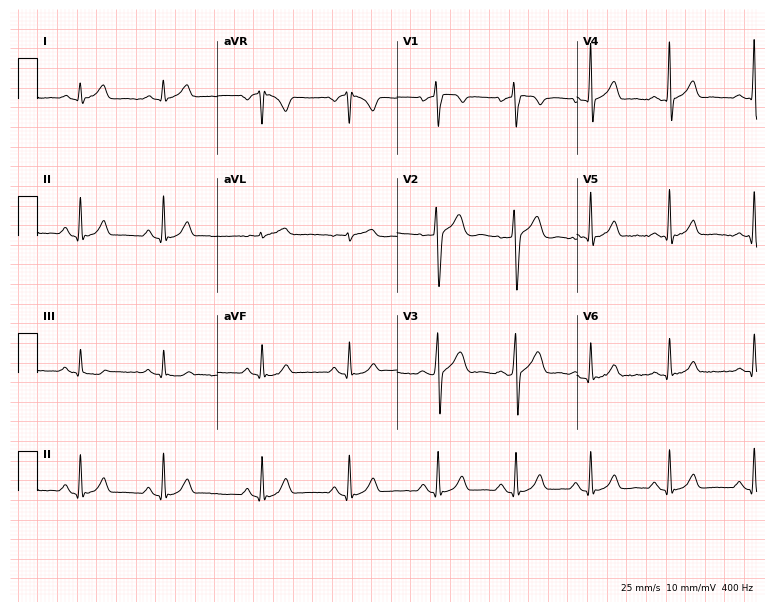
12-lead ECG from a 30-year-old male patient. No first-degree AV block, right bundle branch block, left bundle branch block, sinus bradycardia, atrial fibrillation or sinus tachycardia recorded for this tracing. Findings outside these six are not listed.